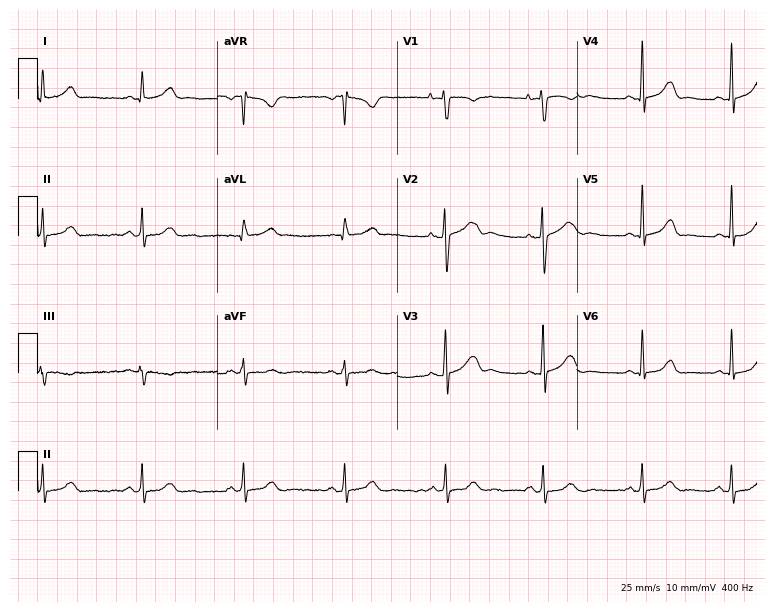
12-lead ECG from a 27-year-old female (7.3-second recording at 400 Hz). Recorded interpretation: within normal limits.